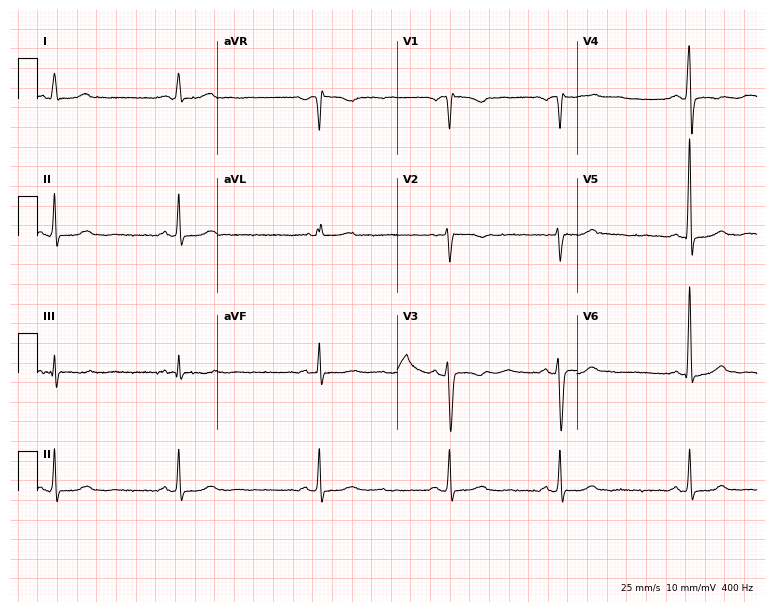
Electrocardiogram, a female, 54 years old. Of the six screened findings (first-degree AV block, right bundle branch block (RBBB), left bundle branch block (LBBB), sinus bradycardia, atrial fibrillation (AF), sinus tachycardia), none is recorded.